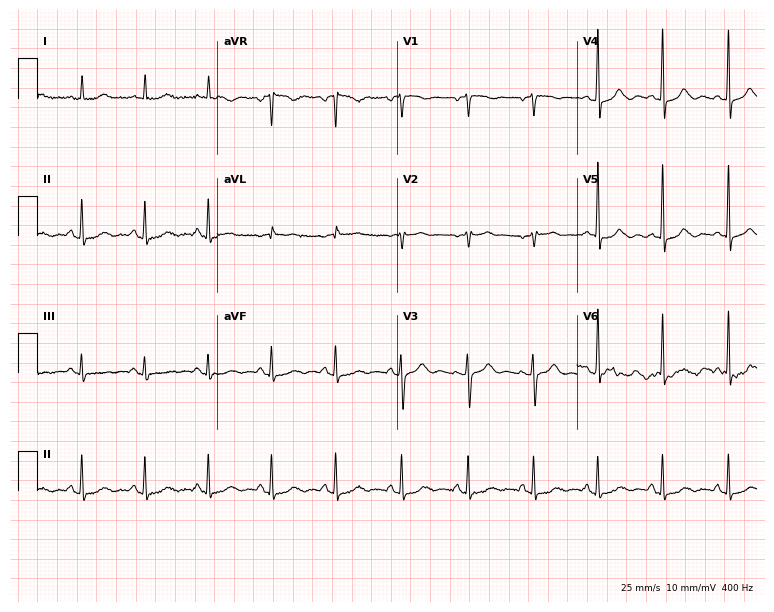
12-lead ECG from a female, 76 years old. No first-degree AV block, right bundle branch block (RBBB), left bundle branch block (LBBB), sinus bradycardia, atrial fibrillation (AF) or sinus tachycardia recorded for this tracing.